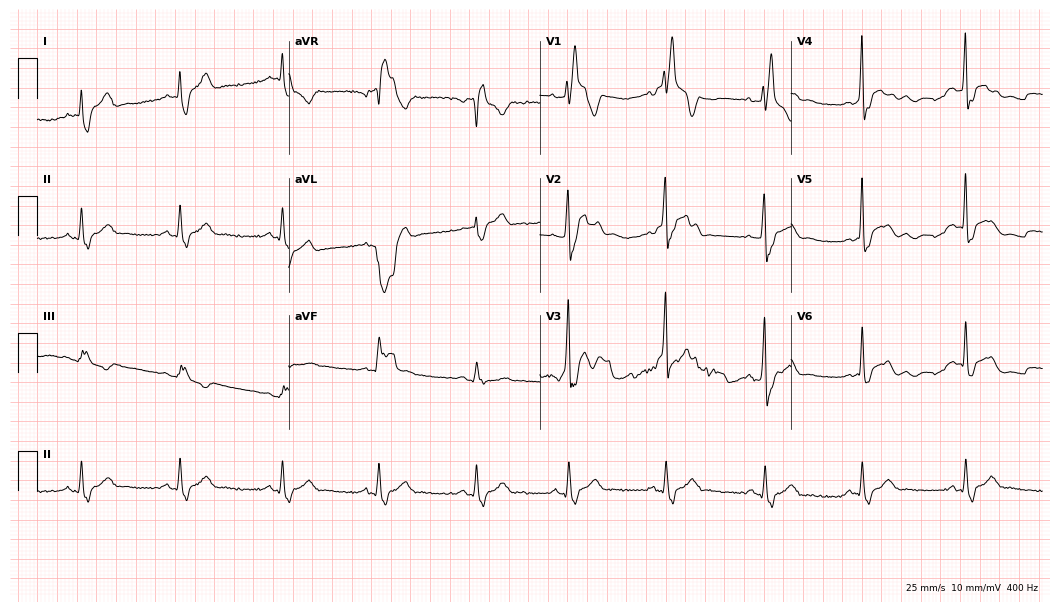
Standard 12-lead ECG recorded from a male, 36 years old. The tracing shows right bundle branch block (RBBB).